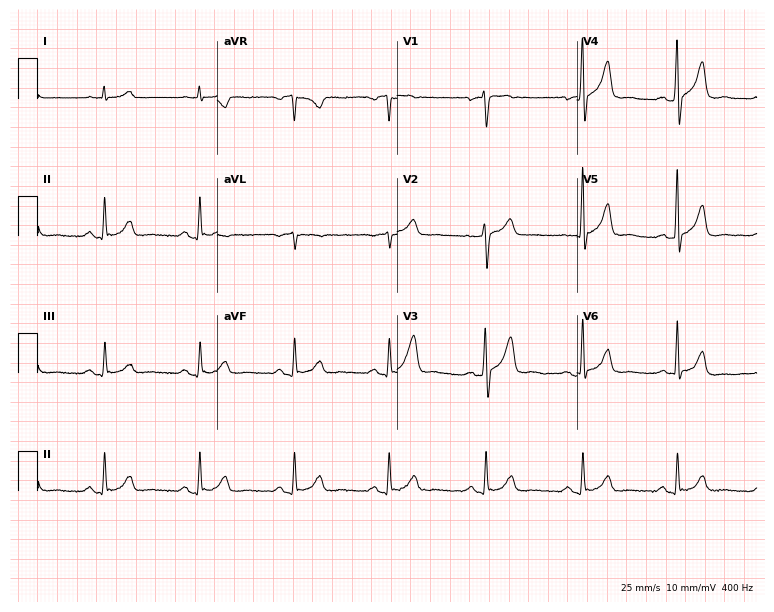
ECG (7.3-second recording at 400 Hz) — a 46-year-old male. Labelled as a normal ECG.